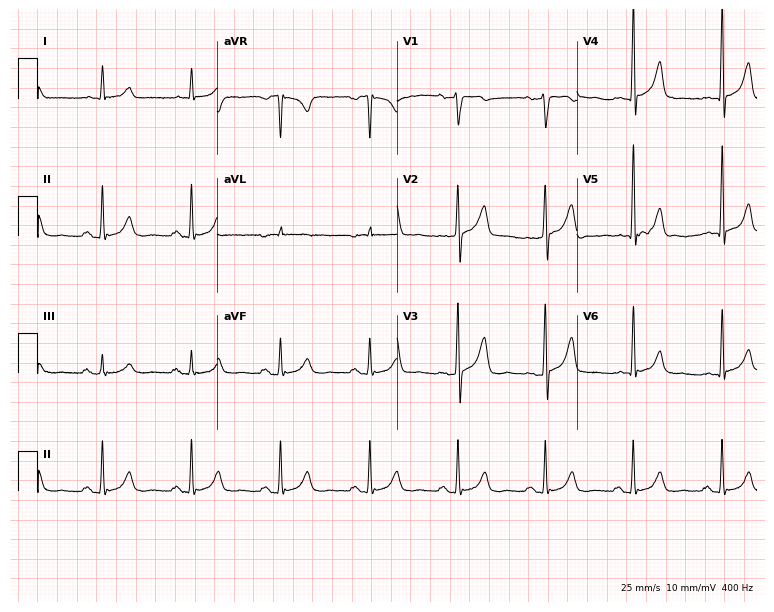
ECG (7.3-second recording at 400 Hz) — a male, 64 years old. Labelled as a normal ECG.